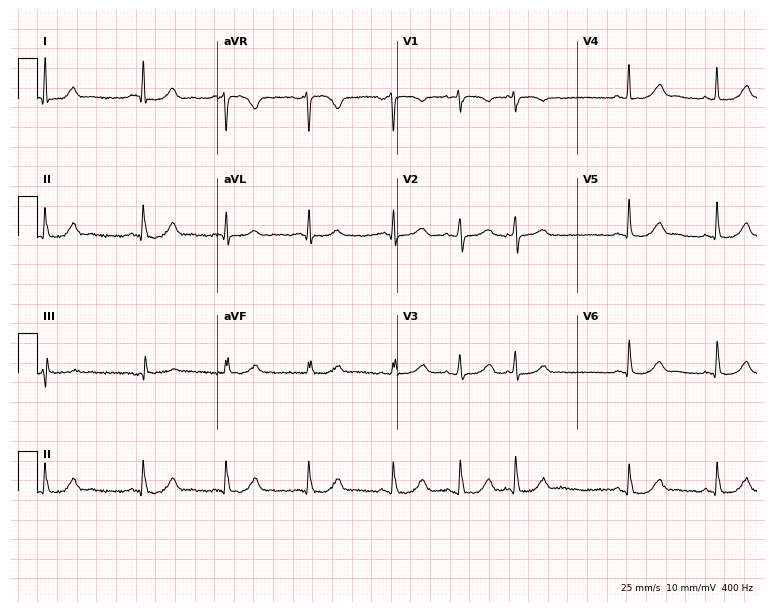
12-lead ECG from a 71-year-old female. Labelled as a normal ECG.